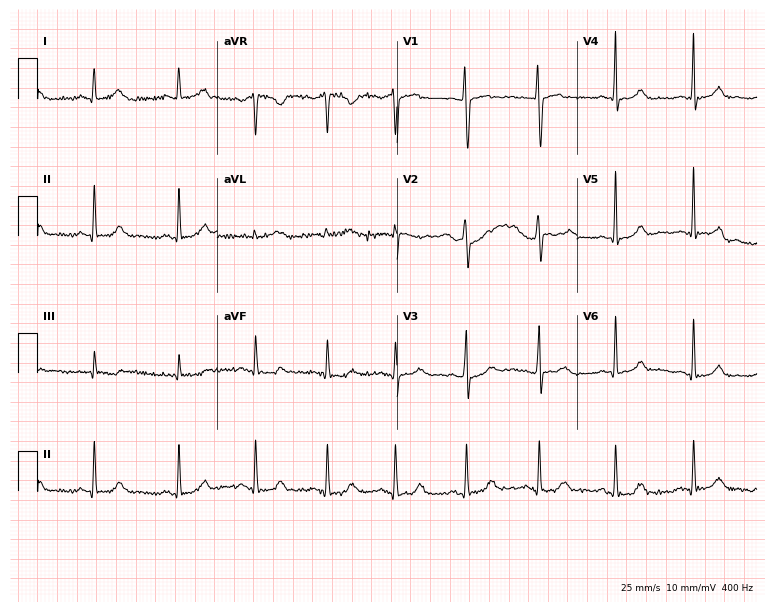
Standard 12-lead ECG recorded from a 20-year-old woman (7.3-second recording at 400 Hz). Read as a normal ECG.